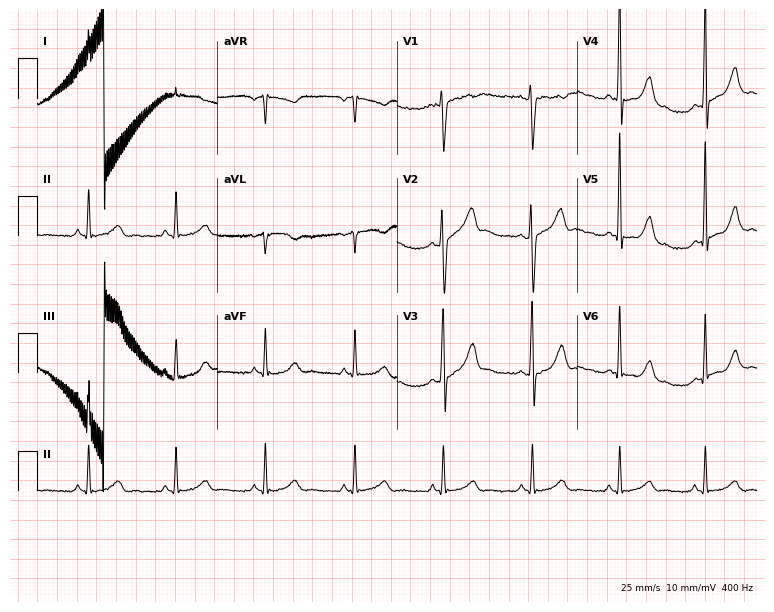
Electrocardiogram (7.3-second recording at 400 Hz), a man, 43 years old. Overall reading on record: normal ECG.